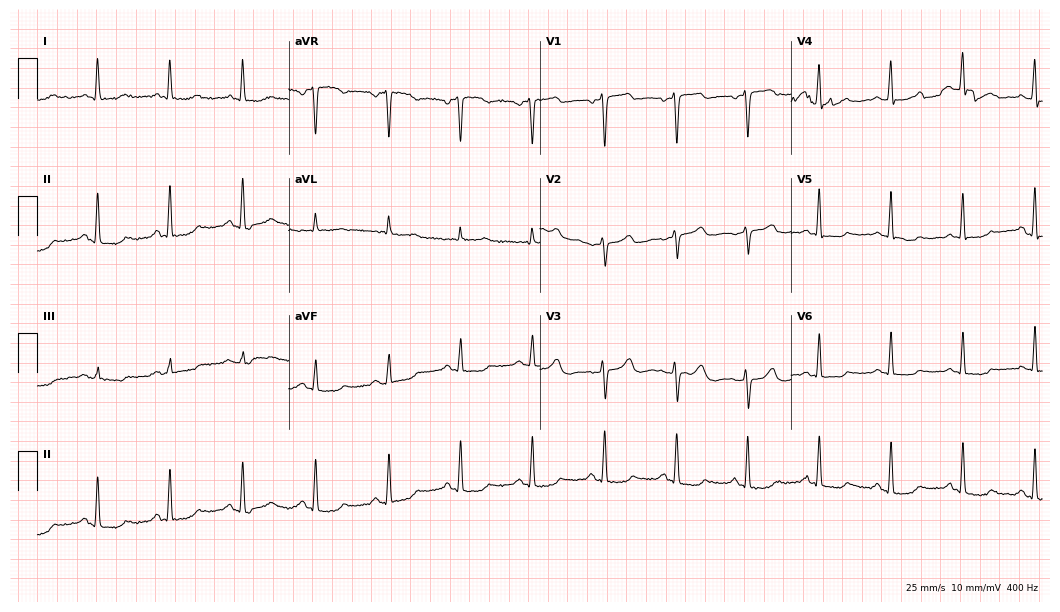
Resting 12-lead electrocardiogram. Patient: a 63-year-old female. None of these six findings is recorded: first-degree AV block, right bundle branch block, left bundle branch block, sinus bradycardia, atrial fibrillation, sinus tachycardia.